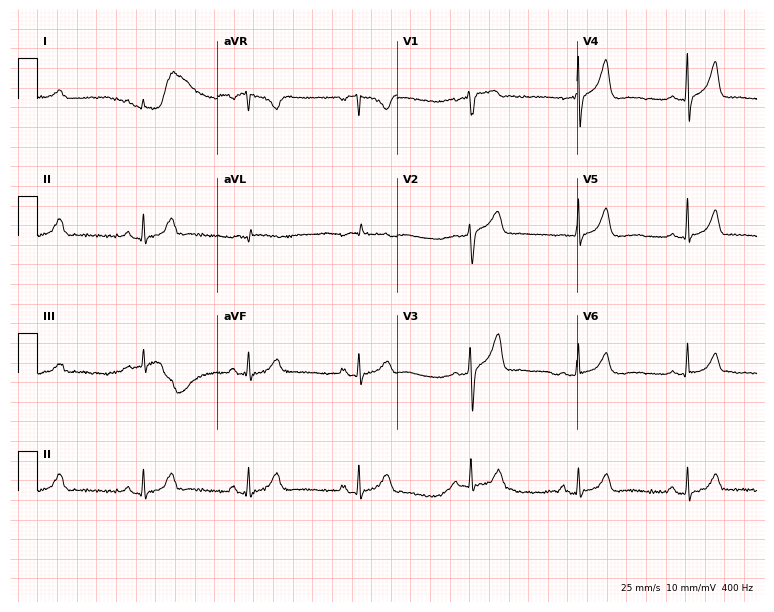
Standard 12-lead ECG recorded from a male, 59 years old. Read as a normal ECG.